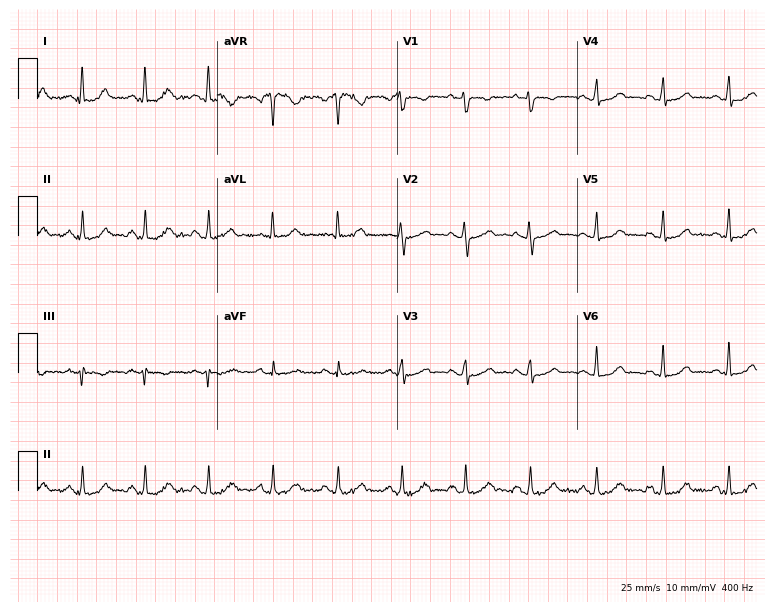
12-lead ECG from a woman, 45 years old (7.3-second recording at 400 Hz). Recorded interpretation: within normal limits.